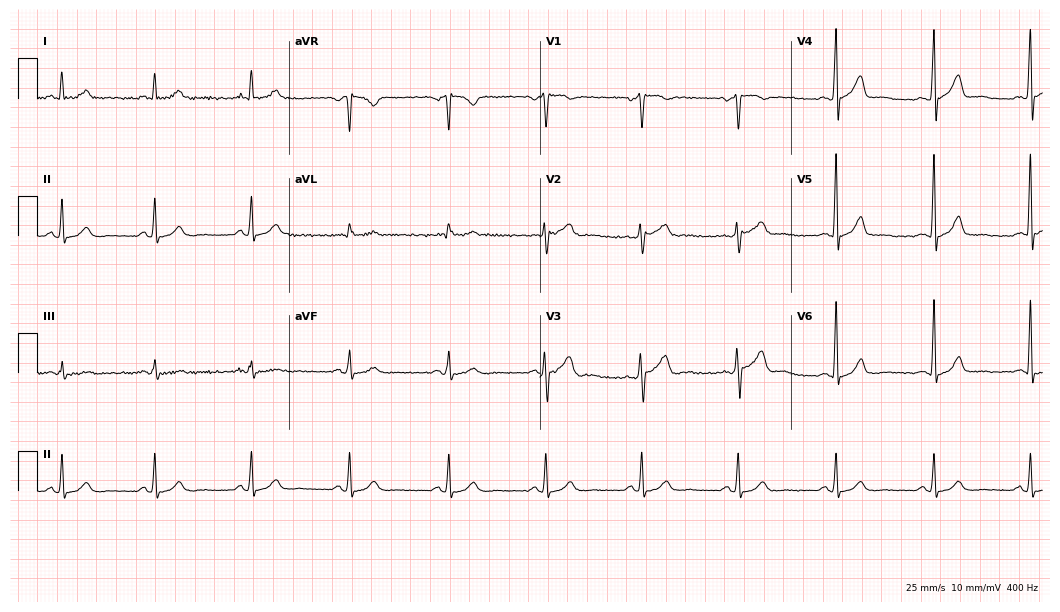
Standard 12-lead ECG recorded from a 47-year-old male patient (10.2-second recording at 400 Hz). Read as a normal ECG.